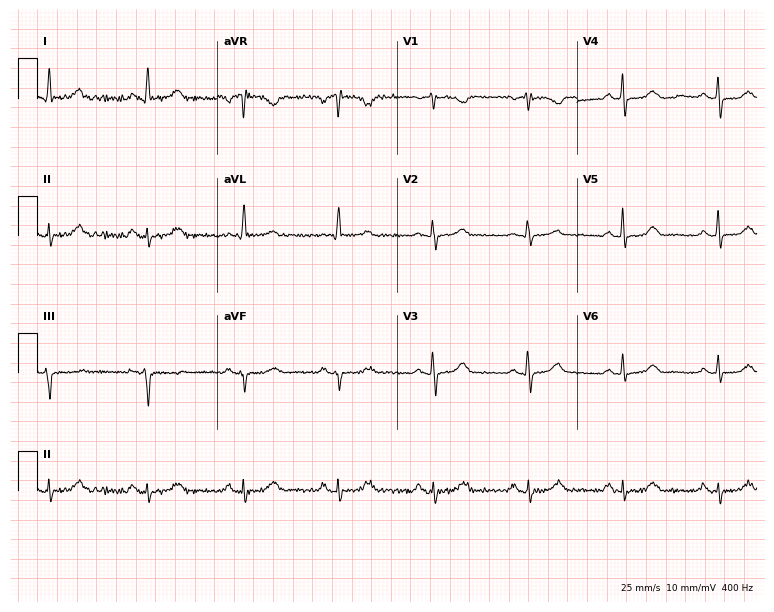
12-lead ECG (7.3-second recording at 400 Hz) from a woman, 80 years old. Labelled as a normal ECG.